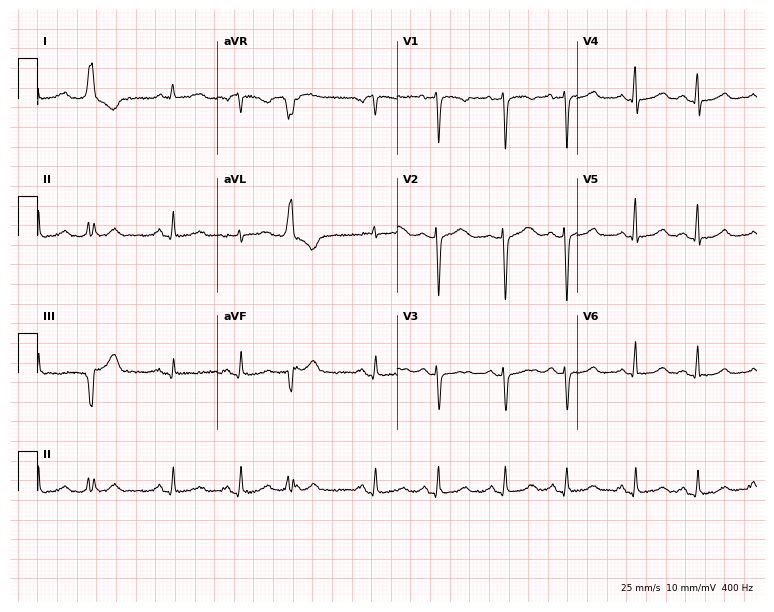
Resting 12-lead electrocardiogram (7.3-second recording at 400 Hz). Patient: a woman, 84 years old. None of these six findings is recorded: first-degree AV block, right bundle branch block (RBBB), left bundle branch block (LBBB), sinus bradycardia, atrial fibrillation (AF), sinus tachycardia.